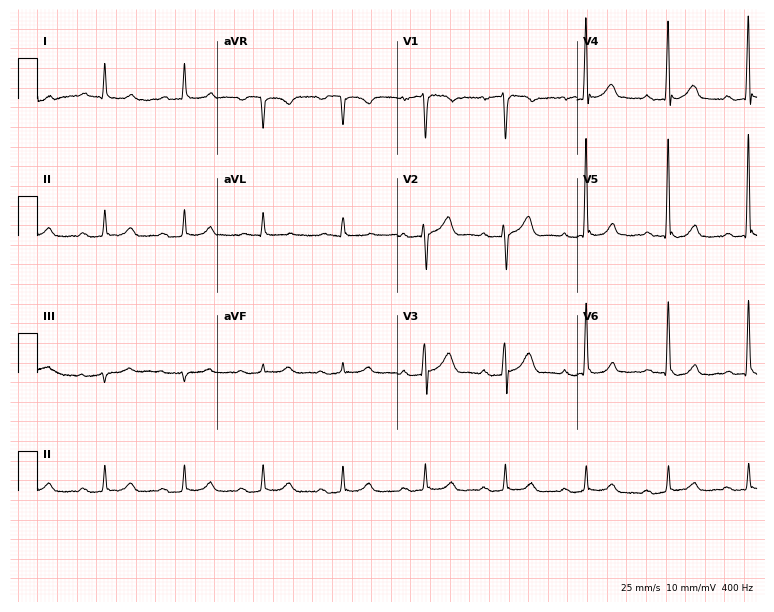
Electrocardiogram (7.3-second recording at 400 Hz), a 64-year-old man. Interpretation includes first-degree AV block.